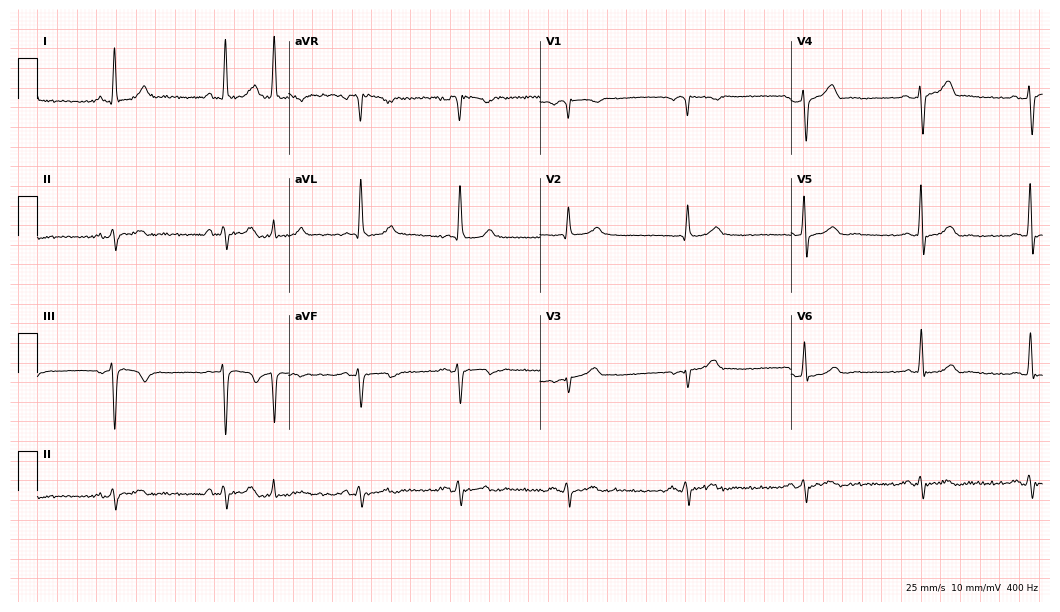
12-lead ECG (10.2-second recording at 400 Hz) from a male patient, 64 years old. Screened for six findings — first-degree AV block, right bundle branch block, left bundle branch block, sinus bradycardia, atrial fibrillation, sinus tachycardia — none is recorded. Only these six findings were labelled.